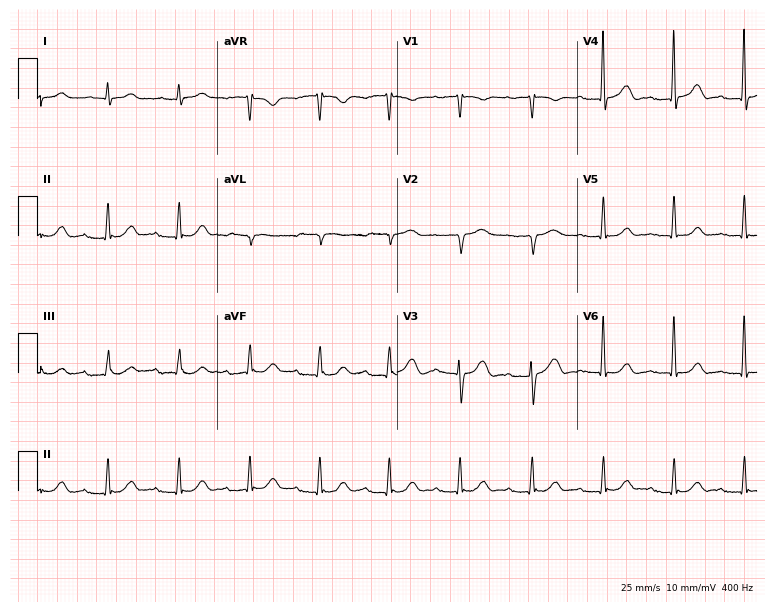
12-lead ECG (7.3-second recording at 400 Hz) from a man, 60 years old. Findings include first-degree AV block.